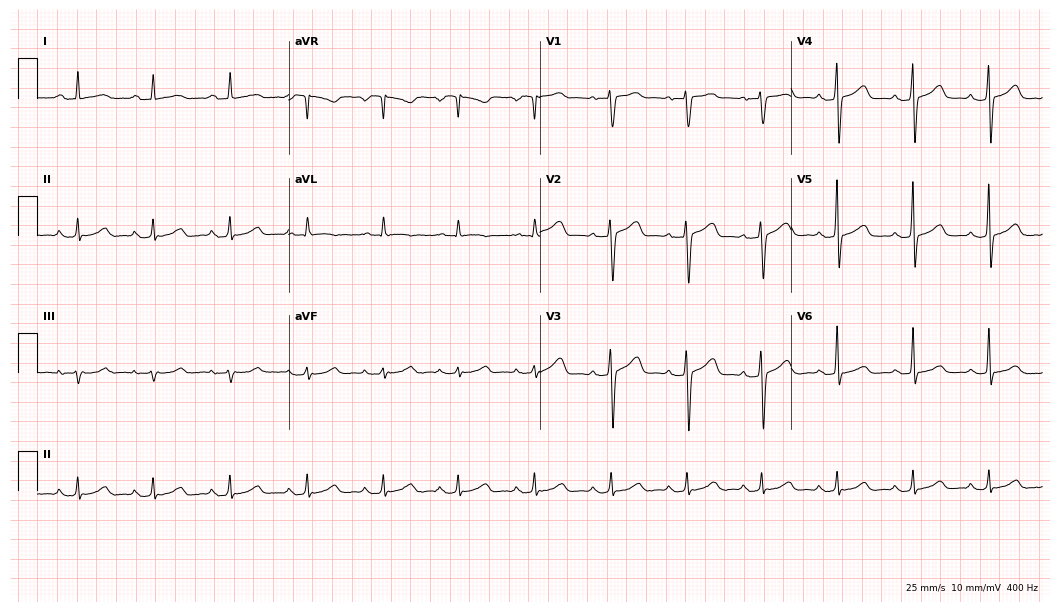
Resting 12-lead electrocardiogram (10.2-second recording at 400 Hz). Patient: a 73-year-old woman. The tracing shows first-degree AV block.